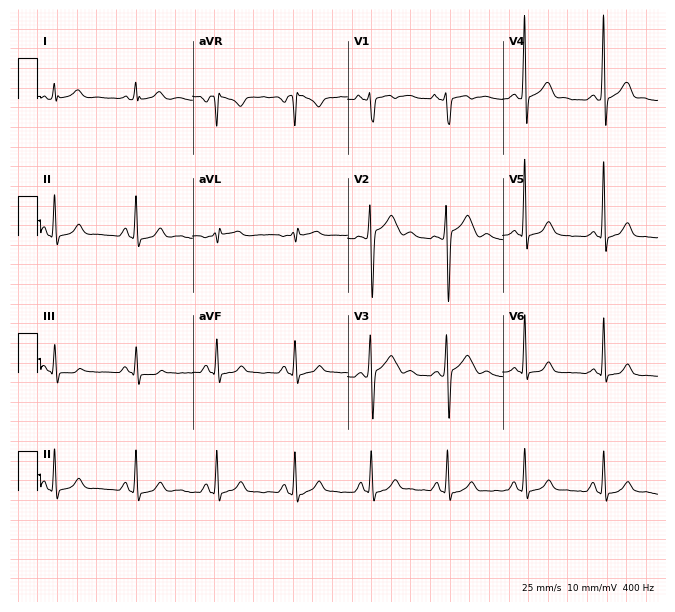
ECG — a 25-year-old male patient. Labelled as a normal ECG.